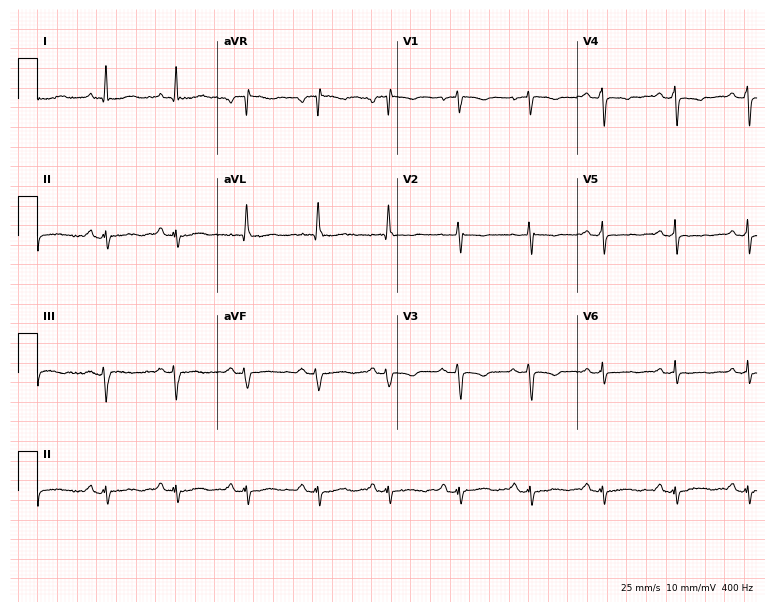
Standard 12-lead ECG recorded from a 48-year-old woman. None of these six findings is recorded: first-degree AV block, right bundle branch block, left bundle branch block, sinus bradycardia, atrial fibrillation, sinus tachycardia. Only these six findings were labelled.